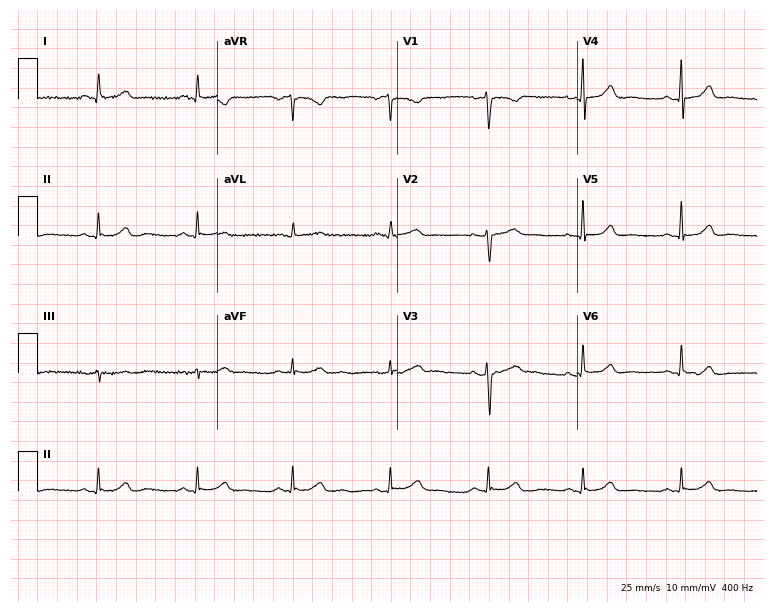
ECG (7.3-second recording at 400 Hz) — a 51-year-old female patient. Labelled as a normal ECG.